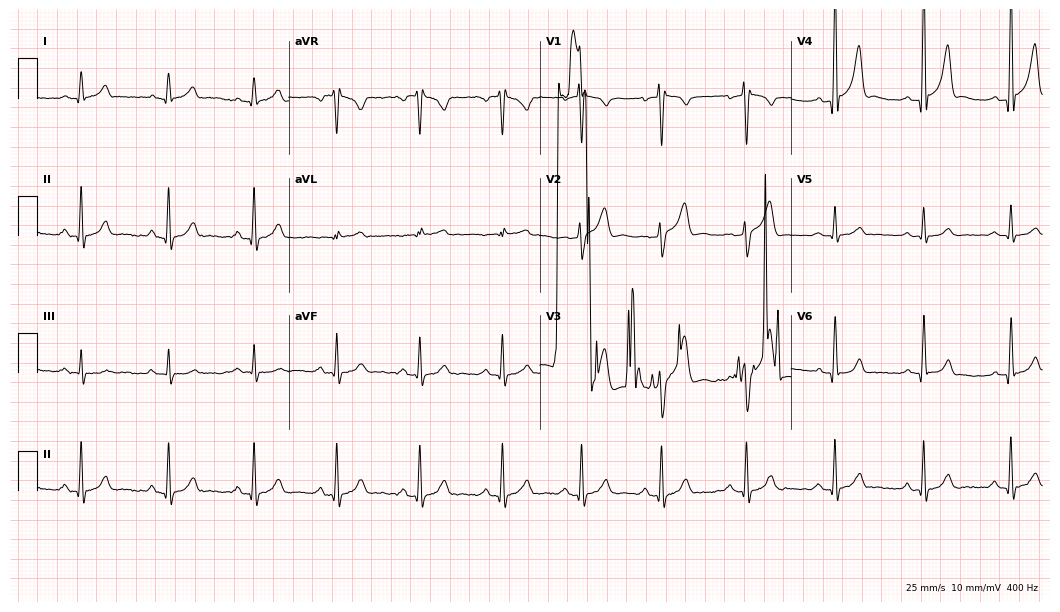
ECG (10.2-second recording at 400 Hz) — a male patient, 31 years old. Screened for six findings — first-degree AV block, right bundle branch block (RBBB), left bundle branch block (LBBB), sinus bradycardia, atrial fibrillation (AF), sinus tachycardia — none is recorded.